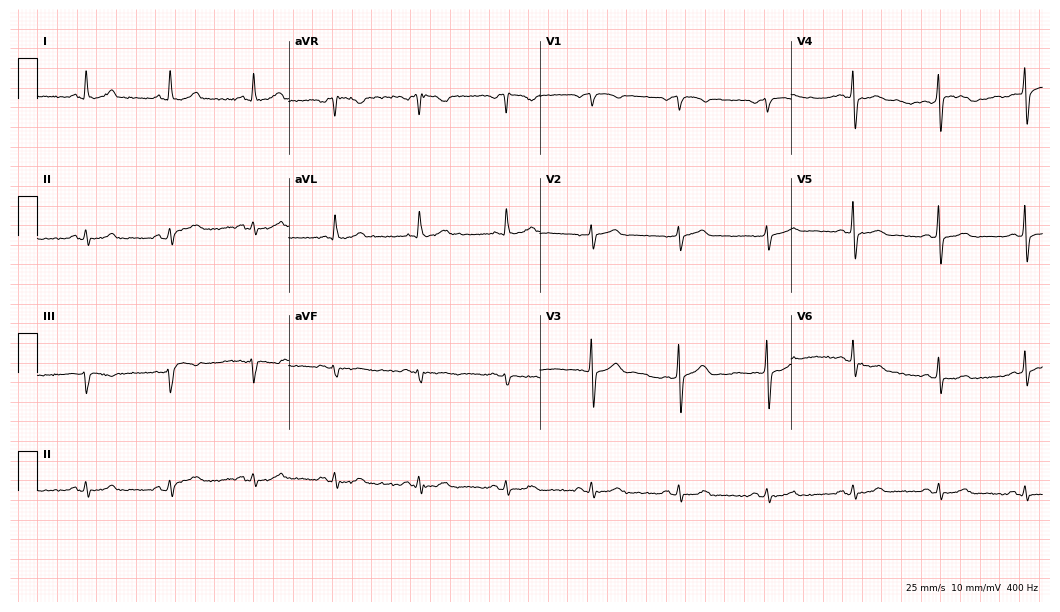
ECG (10.2-second recording at 400 Hz) — a 43-year-old male. Labelled as a normal ECG.